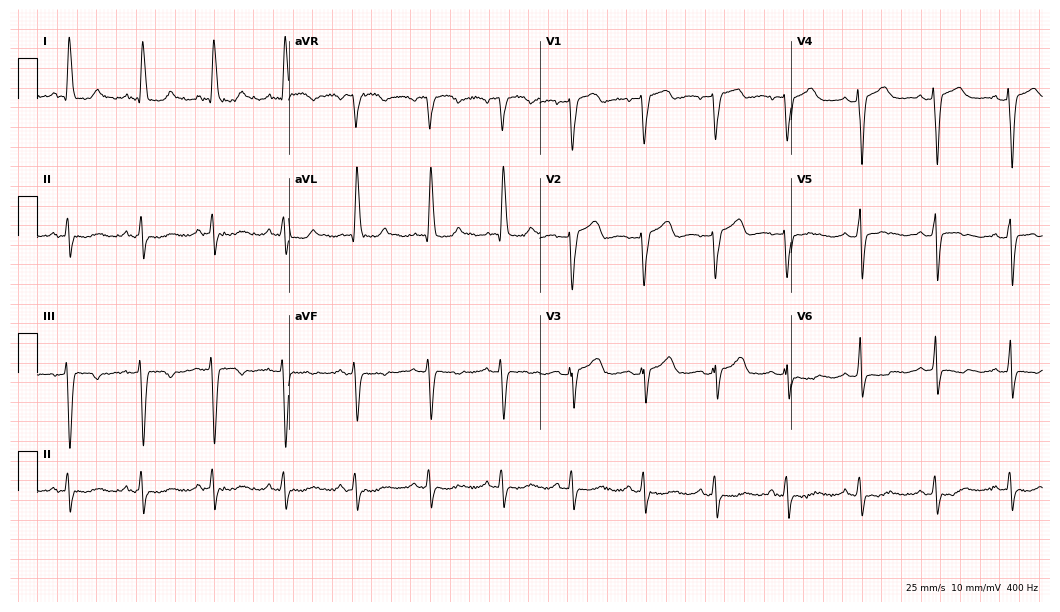
Standard 12-lead ECG recorded from a 56-year-old woman (10.2-second recording at 400 Hz). The tracing shows left bundle branch block (LBBB).